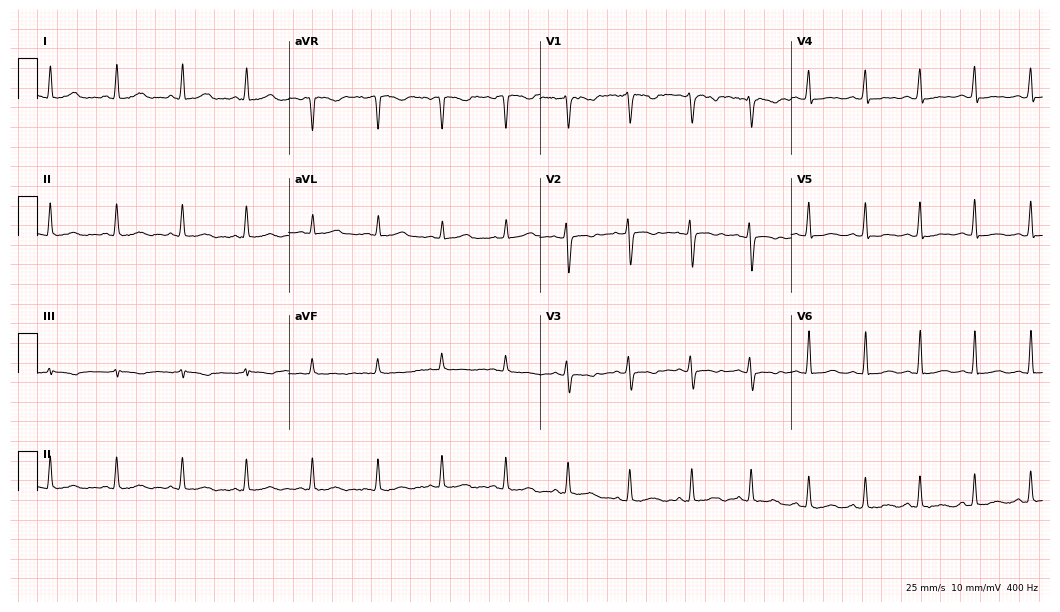
ECG (10.2-second recording at 400 Hz) — a 37-year-old woman. Screened for six findings — first-degree AV block, right bundle branch block (RBBB), left bundle branch block (LBBB), sinus bradycardia, atrial fibrillation (AF), sinus tachycardia — none is recorded. Findings outside these six are not listed.